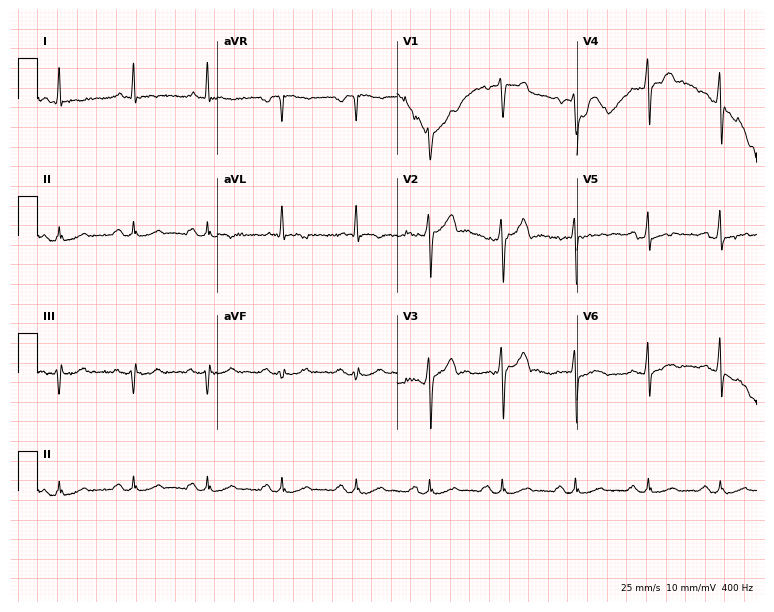
Standard 12-lead ECG recorded from a 56-year-old male patient (7.3-second recording at 400 Hz). None of these six findings is recorded: first-degree AV block, right bundle branch block, left bundle branch block, sinus bradycardia, atrial fibrillation, sinus tachycardia.